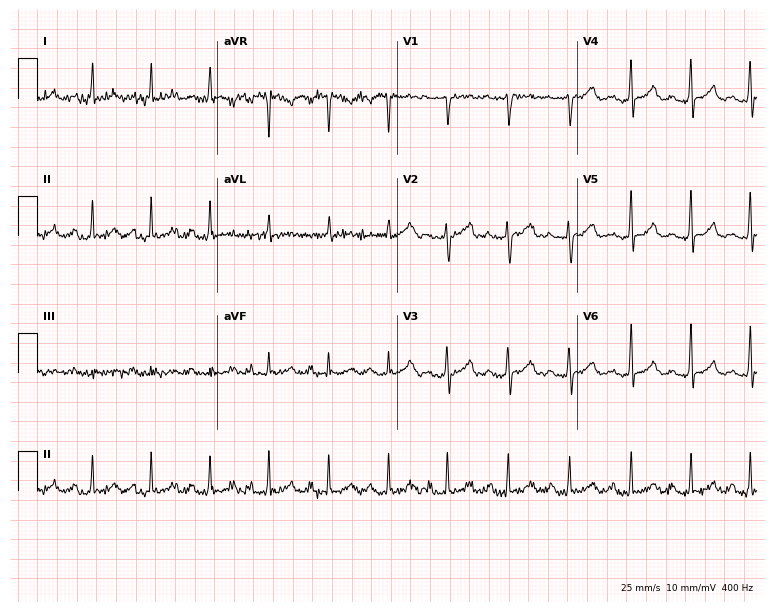
12-lead ECG from a 30-year-old female. Screened for six findings — first-degree AV block, right bundle branch block, left bundle branch block, sinus bradycardia, atrial fibrillation, sinus tachycardia — none is recorded.